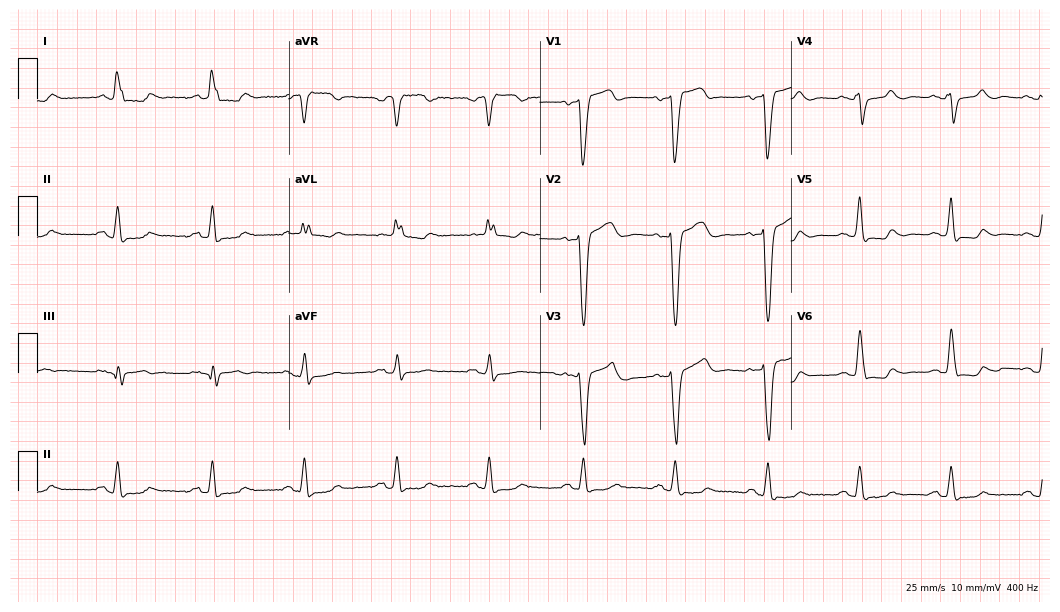
Standard 12-lead ECG recorded from a male, 73 years old. The tracing shows left bundle branch block (LBBB).